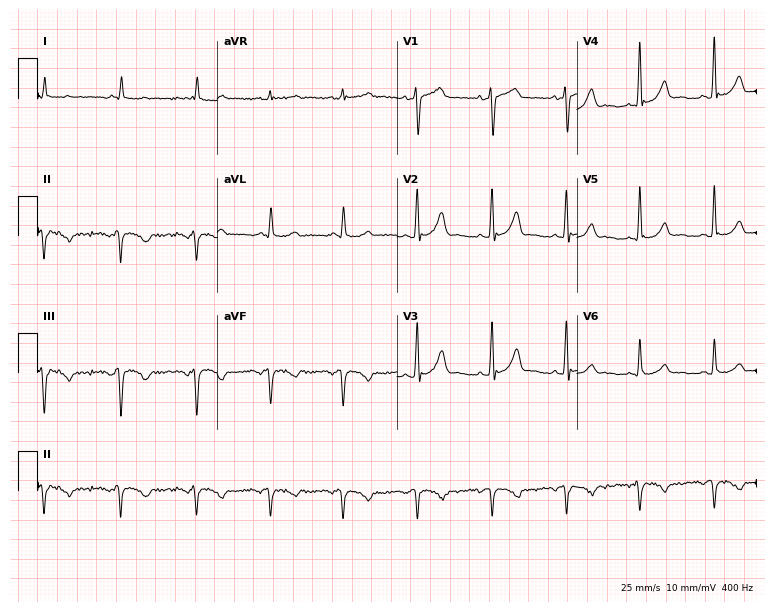
Resting 12-lead electrocardiogram. Patient: a female, 62 years old. None of these six findings is recorded: first-degree AV block, right bundle branch block, left bundle branch block, sinus bradycardia, atrial fibrillation, sinus tachycardia.